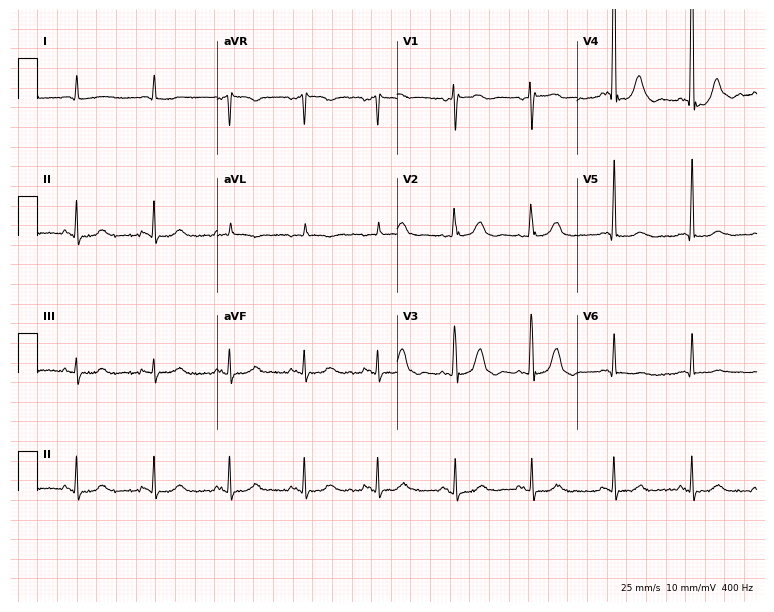
Resting 12-lead electrocardiogram (7.3-second recording at 400 Hz). Patient: a female, 82 years old. None of these six findings is recorded: first-degree AV block, right bundle branch block, left bundle branch block, sinus bradycardia, atrial fibrillation, sinus tachycardia. Findings outside these six are not listed.